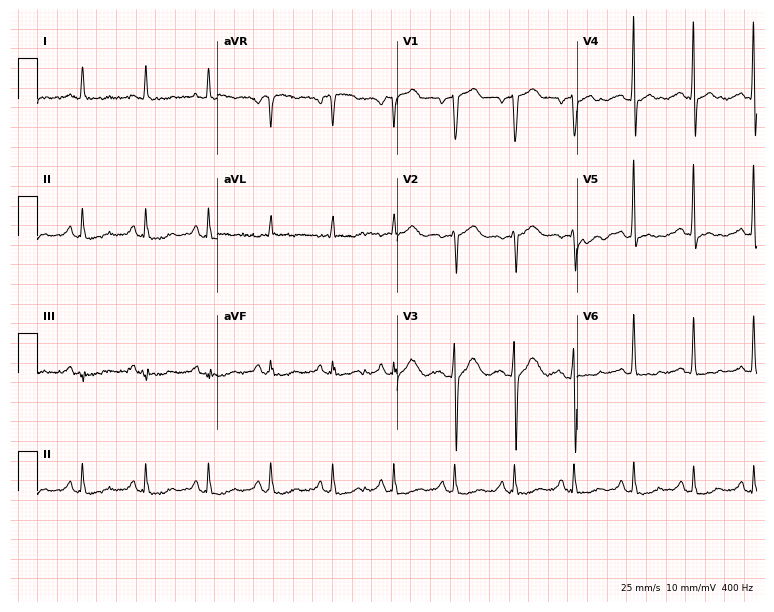
12-lead ECG from a 55-year-old man (7.3-second recording at 400 Hz). No first-degree AV block, right bundle branch block (RBBB), left bundle branch block (LBBB), sinus bradycardia, atrial fibrillation (AF) or sinus tachycardia recorded for this tracing.